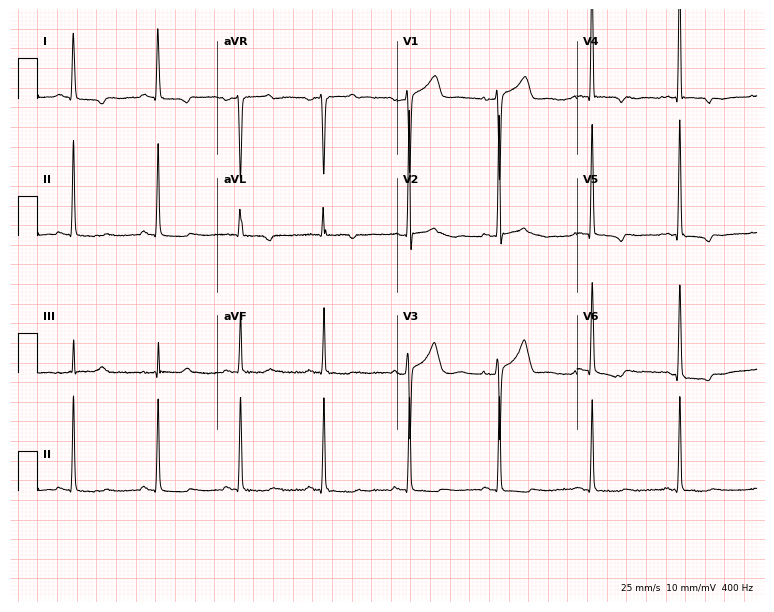
12-lead ECG from a 61-year-old female. No first-degree AV block, right bundle branch block, left bundle branch block, sinus bradycardia, atrial fibrillation or sinus tachycardia recorded for this tracing.